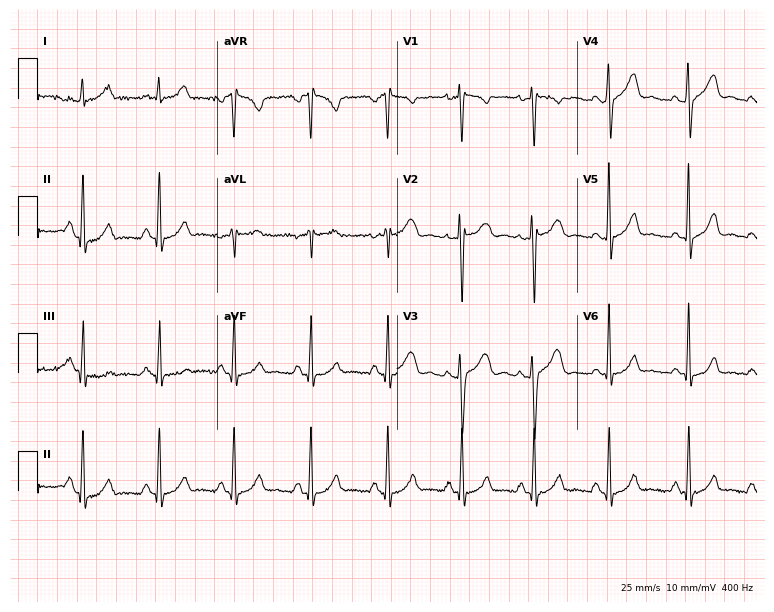
Electrocardiogram, a female, 37 years old. Of the six screened findings (first-degree AV block, right bundle branch block, left bundle branch block, sinus bradycardia, atrial fibrillation, sinus tachycardia), none is recorded. Only these six findings were labelled.